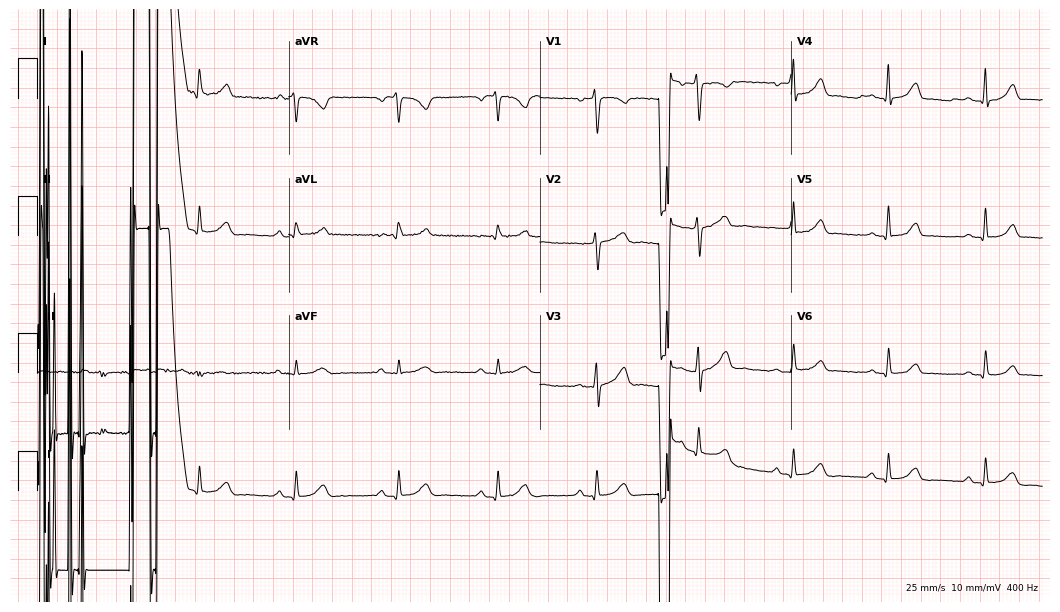
12-lead ECG (10.2-second recording at 400 Hz) from a female, 49 years old. Screened for six findings — first-degree AV block, right bundle branch block, left bundle branch block, sinus bradycardia, atrial fibrillation, sinus tachycardia — none is recorded.